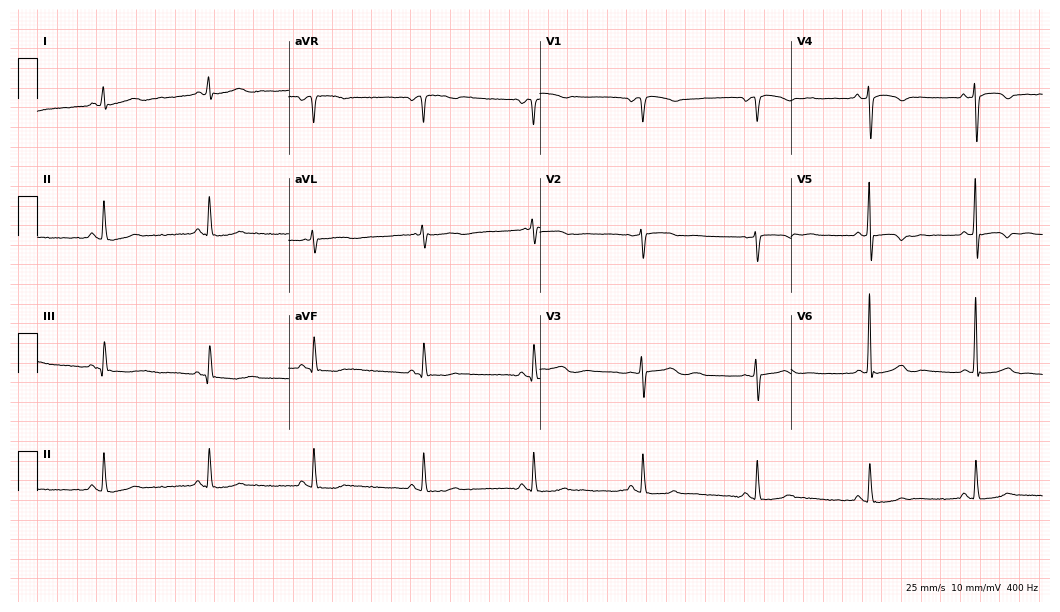
ECG (10.2-second recording at 400 Hz) — a female patient, 58 years old. Screened for six findings — first-degree AV block, right bundle branch block (RBBB), left bundle branch block (LBBB), sinus bradycardia, atrial fibrillation (AF), sinus tachycardia — none is recorded. Other findings, if any, are not listed.